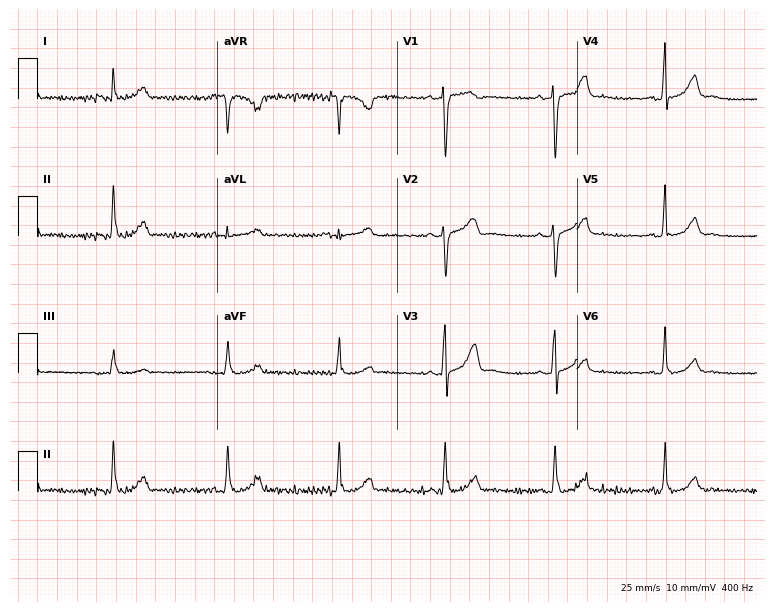
ECG — a 33-year-old female patient. Screened for six findings — first-degree AV block, right bundle branch block (RBBB), left bundle branch block (LBBB), sinus bradycardia, atrial fibrillation (AF), sinus tachycardia — none is recorded. Findings outside these six are not listed.